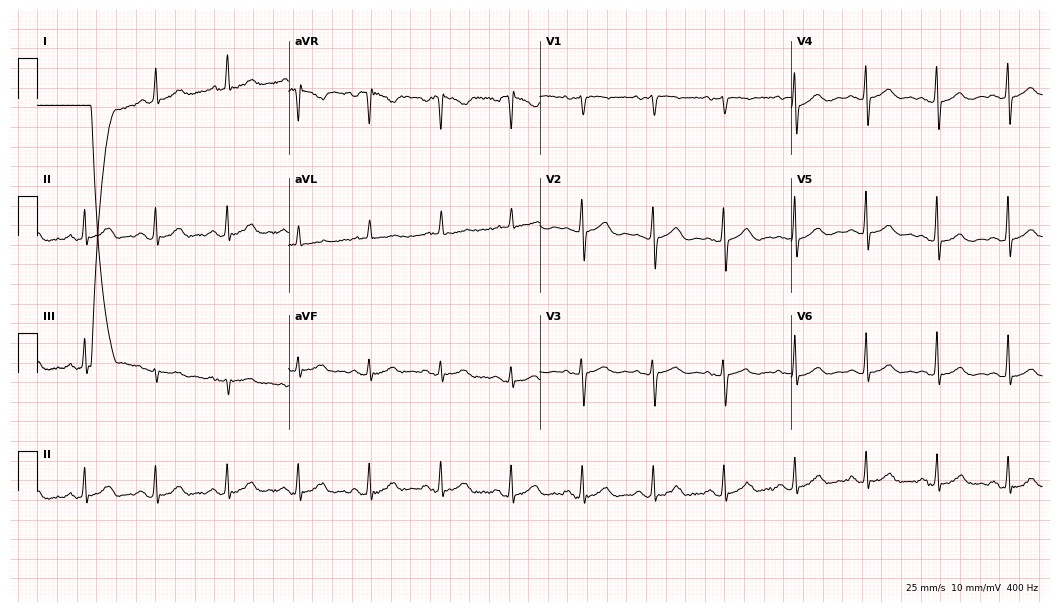
Resting 12-lead electrocardiogram (10.2-second recording at 400 Hz). Patient: a 77-year-old female. Read as a normal ECG.